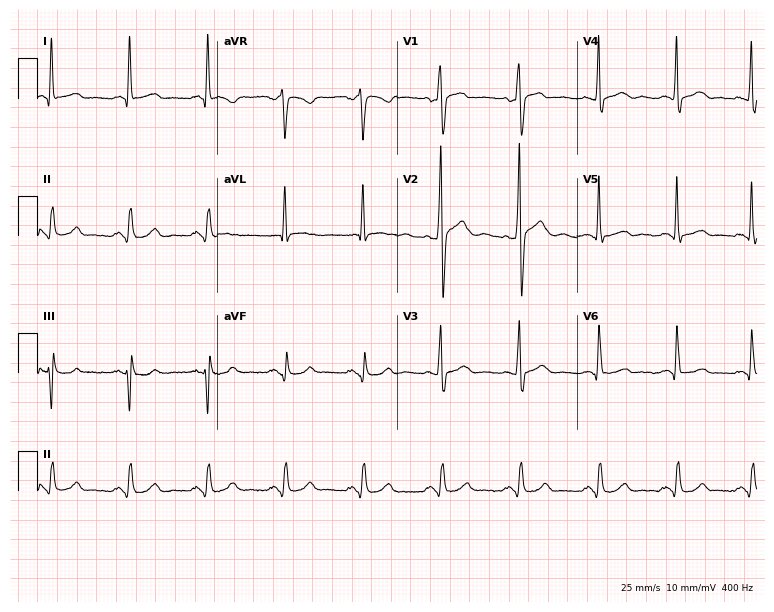
12-lead ECG (7.3-second recording at 400 Hz) from a man, 28 years old. Labelled as a normal ECG.